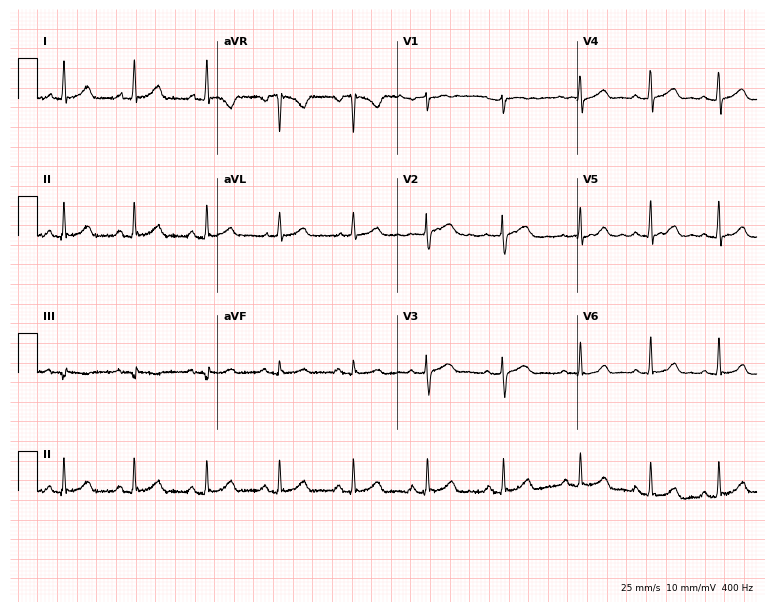
Resting 12-lead electrocardiogram. Patient: a 40-year-old woman. Read as a normal ECG.